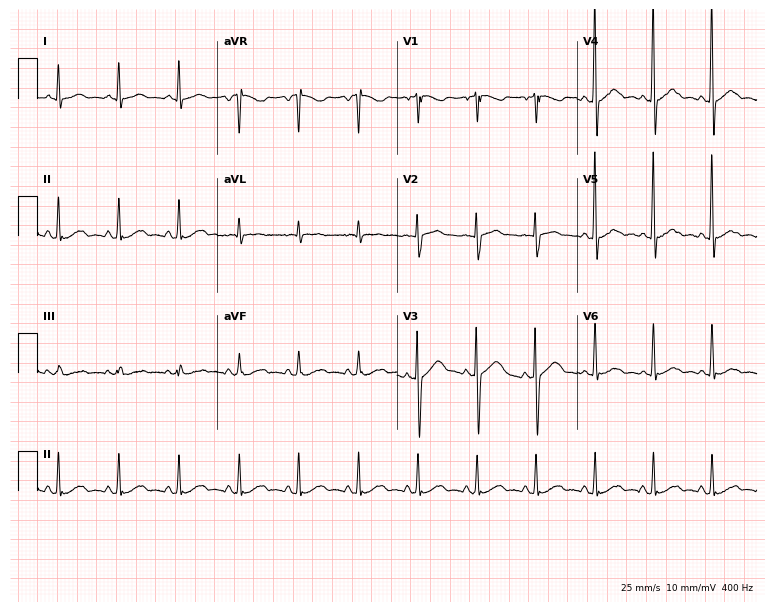
Resting 12-lead electrocardiogram (7.3-second recording at 400 Hz). Patient: a 52-year-old male. None of these six findings is recorded: first-degree AV block, right bundle branch block, left bundle branch block, sinus bradycardia, atrial fibrillation, sinus tachycardia.